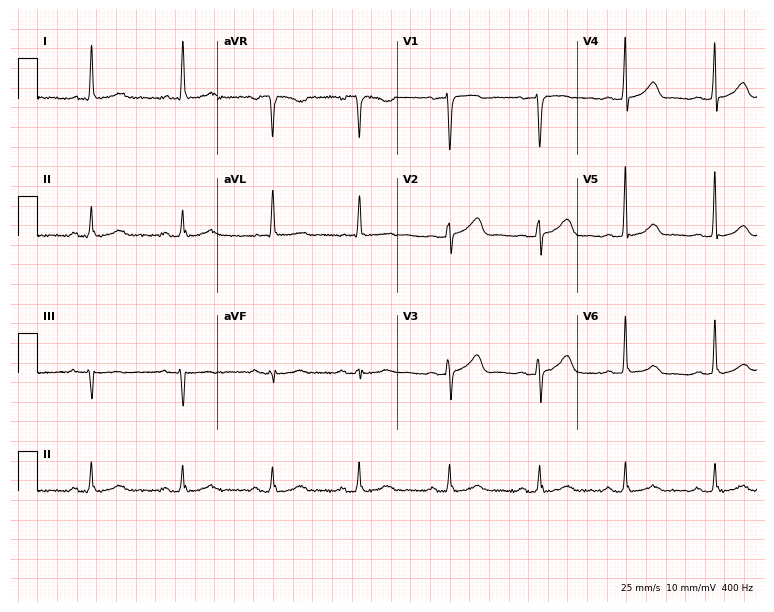
Electrocardiogram (7.3-second recording at 400 Hz), a female patient, 55 years old. Of the six screened findings (first-degree AV block, right bundle branch block (RBBB), left bundle branch block (LBBB), sinus bradycardia, atrial fibrillation (AF), sinus tachycardia), none is recorded.